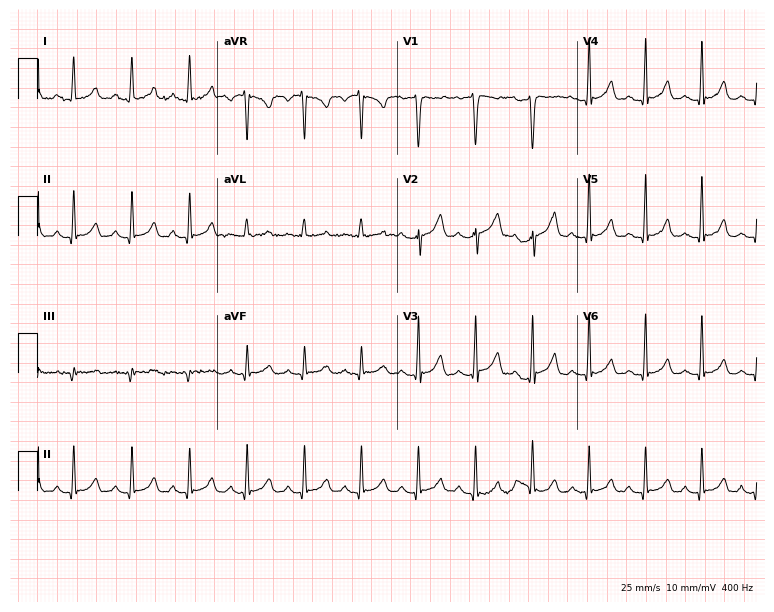
12-lead ECG from a 30-year-old woman (7.3-second recording at 400 Hz). Shows sinus tachycardia (a sinus rate of 100 beats per minute or more).